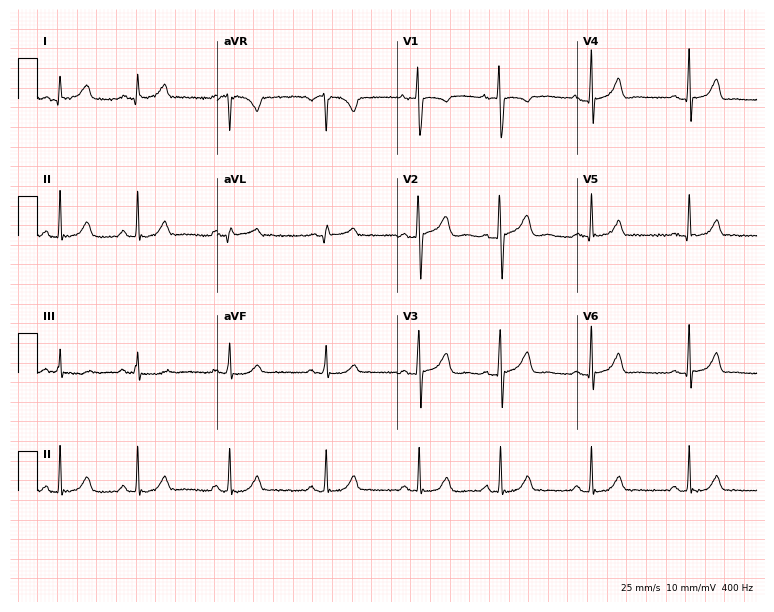
Standard 12-lead ECG recorded from a 27-year-old woman. Read as a normal ECG.